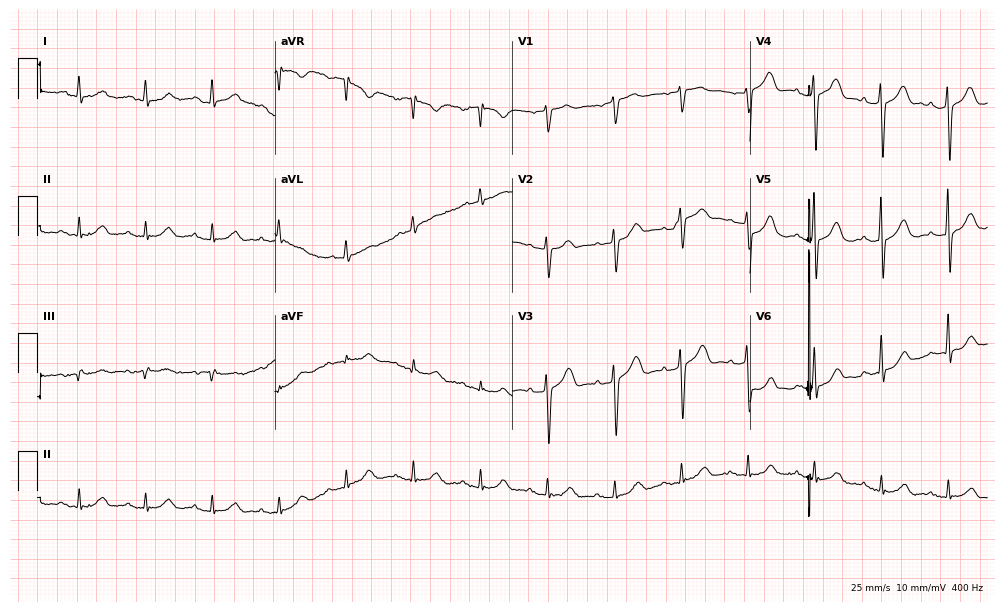
Standard 12-lead ECG recorded from a male, 77 years old. Read as a normal ECG.